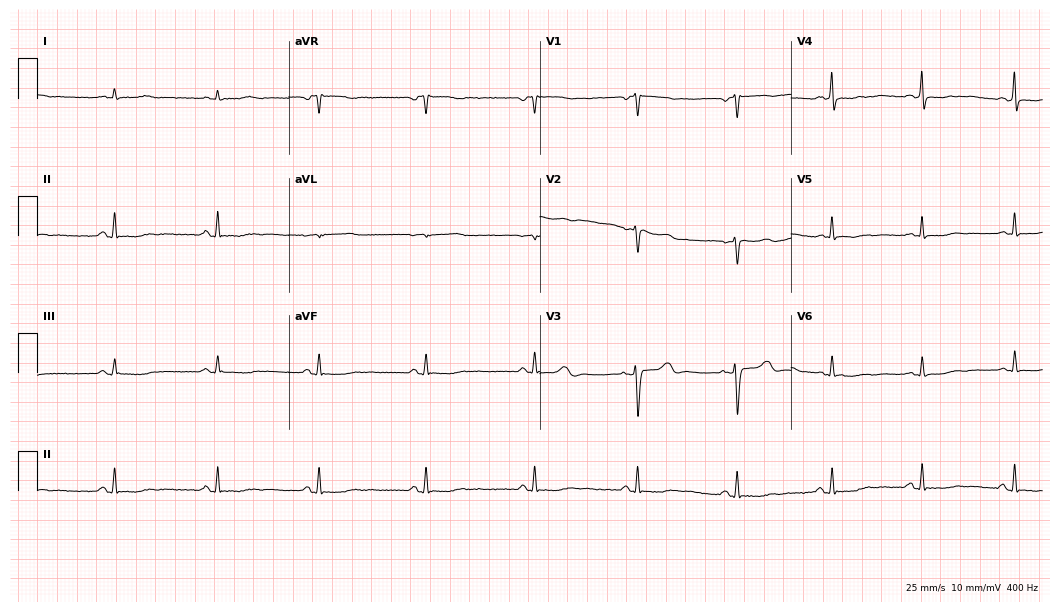
Standard 12-lead ECG recorded from a male patient, 51 years old. None of these six findings is recorded: first-degree AV block, right bundle branch block, left bundle branch block, sinus bradycardia, atrial fibrillation, sinus tachycardia. Only these six findings were labelled.